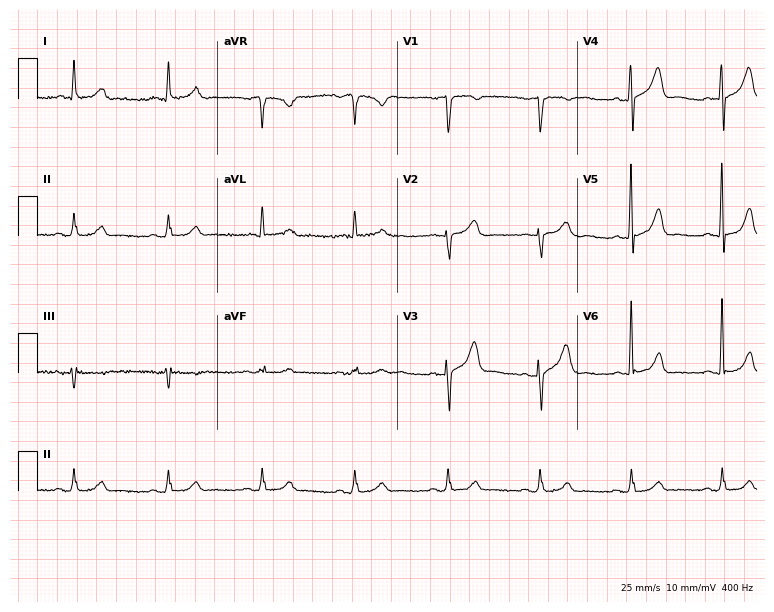
Electrocardiogram, an 80-year-old male. Overall reading on record: normal ECG.